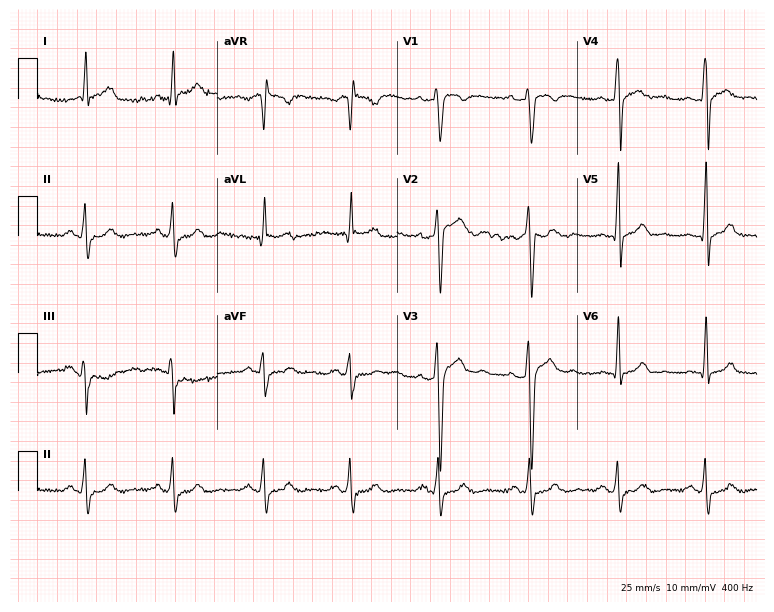
ECG (7.3-second recording at 400 Hz) — a 30-year-old man. Screened for six findings — first-degree AV block, right bundle branch block, left bundle branch block, sinus bradycardia, atrial fibrillation, sinus tachycardia — none is recorded. Other findings, if any, are not listed.